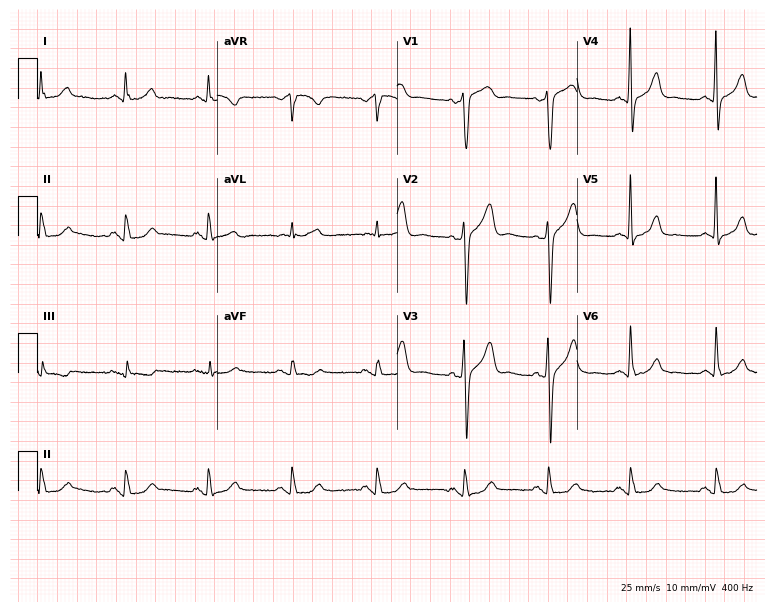
Electrocardiogram, a male, 58 years old. Overall reading on record: normal ECG.